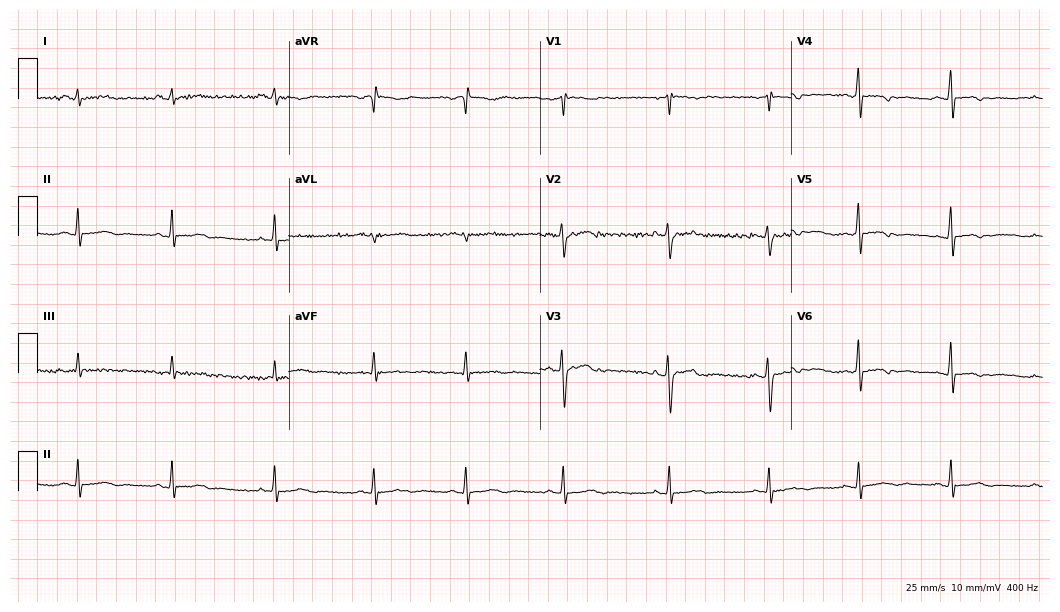
12-lead ECG (10.2-second recording at 400 Hz) from a 25-year-old female patient. Screened for six findings — first-degree AV block, right bundle branch block (RBBB), left bundle branch block (LBBB), sinus bradycardia, atrial fibrillation (AF), sinus tachycardia — none is recorded.